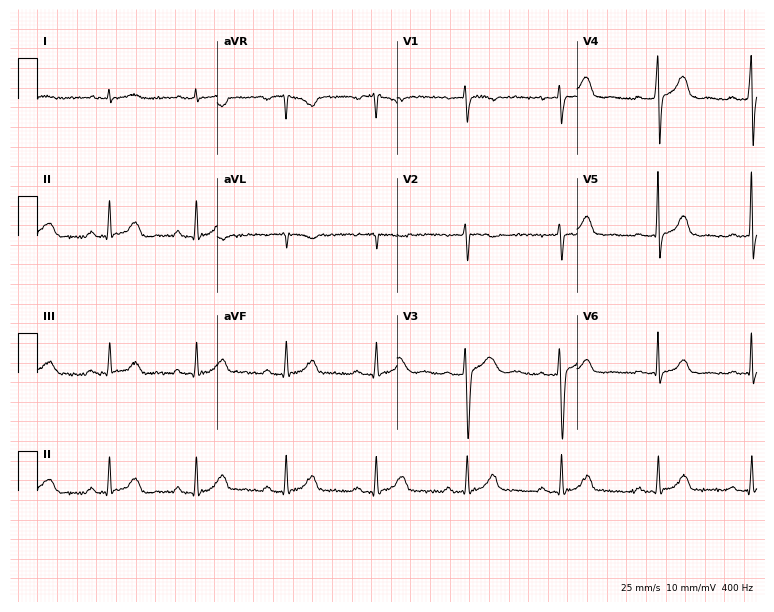
12-lead ECG from a female patient, 30 years old (7.3-second recording at 400 Hz). No first-degree AV block, right bundle branch block (RBBB), left bundle branch block (LBBB), sinus bradycardia, atrial fibrillation (AF) or sinus tachycardia recorded for this tracing. Only these six findings were labelled.